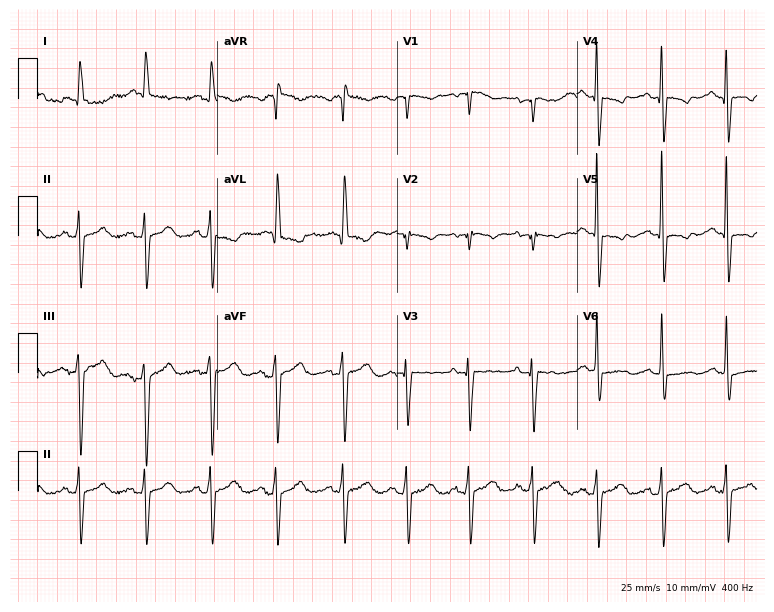
Resting 12-lead electrocardiogram. Patient: a female, 65 years old. None of these six findings is recorded: first-degree AV block, right bundle branch block, left bundle branch block, sinus bradycardia, atrial fibrillation, sinus tachycardia. Other findings, if any, are not listed.